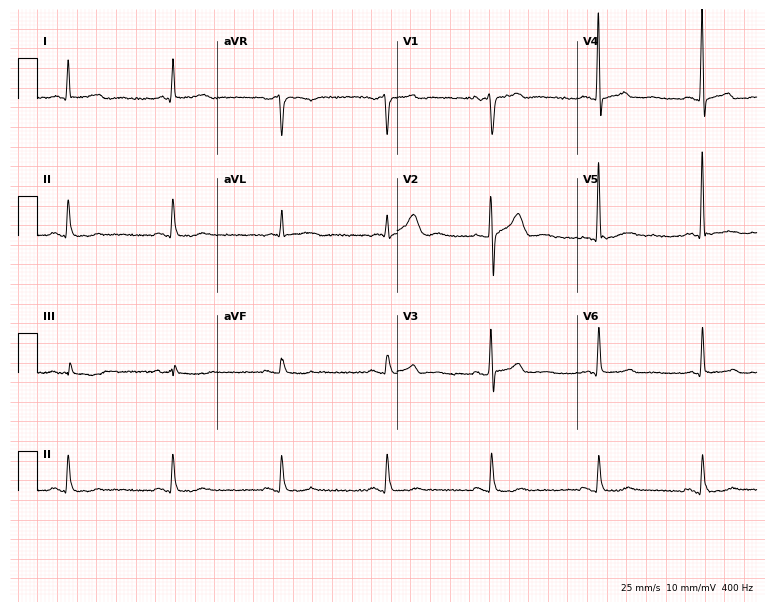
Resting 12-lead electrocardiogram. Patient: a 56-year-old male. None of these six findings is recorded: first-degree AV block, right bundle branch block, left bundle branch block, sinus bradycardia, atrial fibrillation, sinus tachycardia.